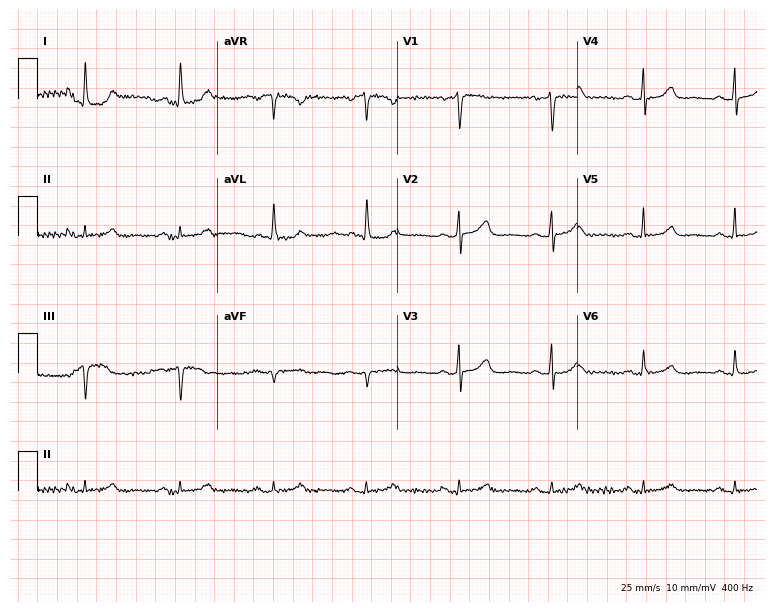
12-lead ECG (7.3-second recording at 400 Hz) from a 65-year-old female. Screened for six findings — first-degree AV block, right bundle branch block, left bundle branch block, sinus bradycardia, atrial fibrillation, sinus tachycardia — none is recorded.